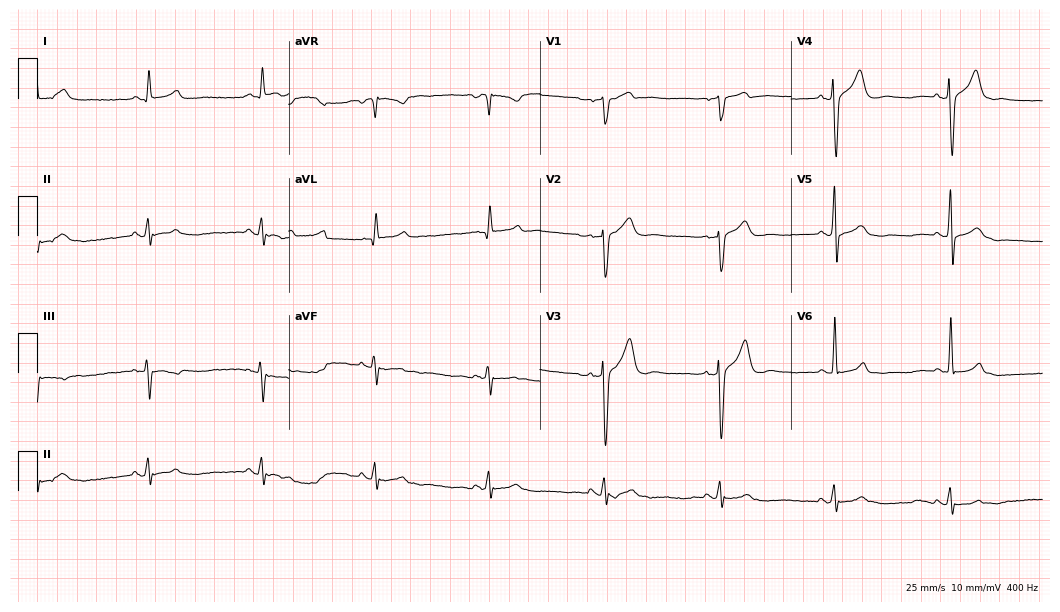
12-lead ECG from a male patient, 63 years old. Recorded interpretation: within normal limits.